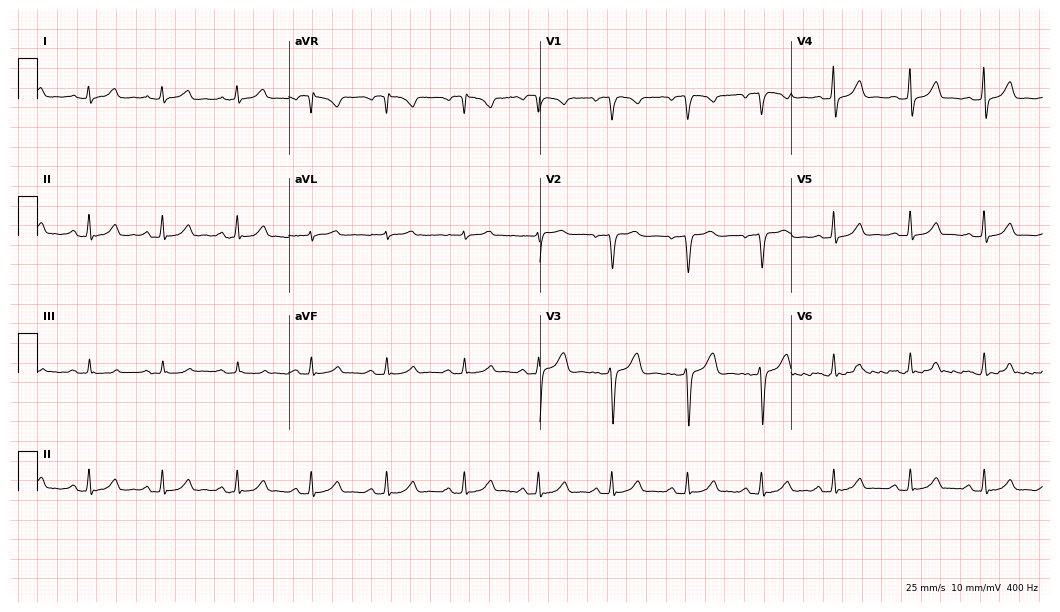
Standard 12-lead ECG recorded from a 41-year-old male. Read as a normal ECG.